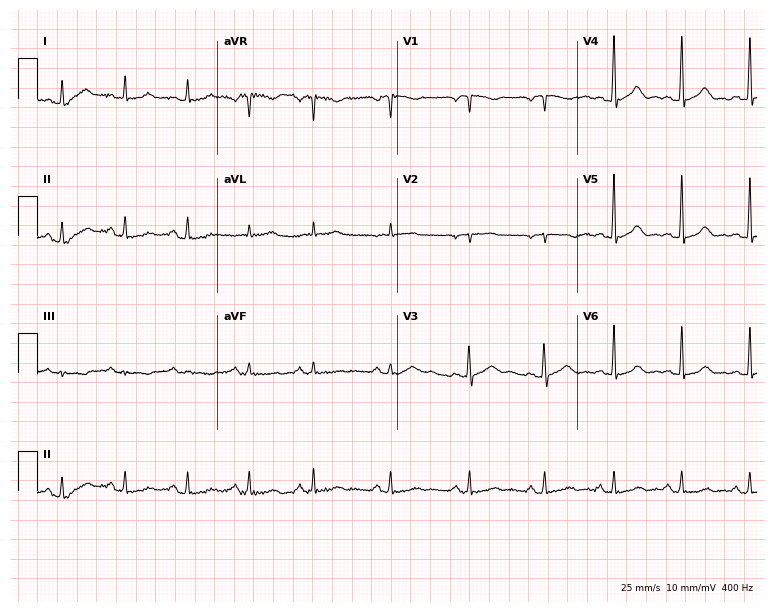
12-lead ECG from a female, 47 years old (7.3-second recording at 400 Hz). No first-degree AV block, right bundle branch block, left bundle branch block, sinus bradycardia, atrial fibrillation or sinus tachycardia recorded for this tracing.